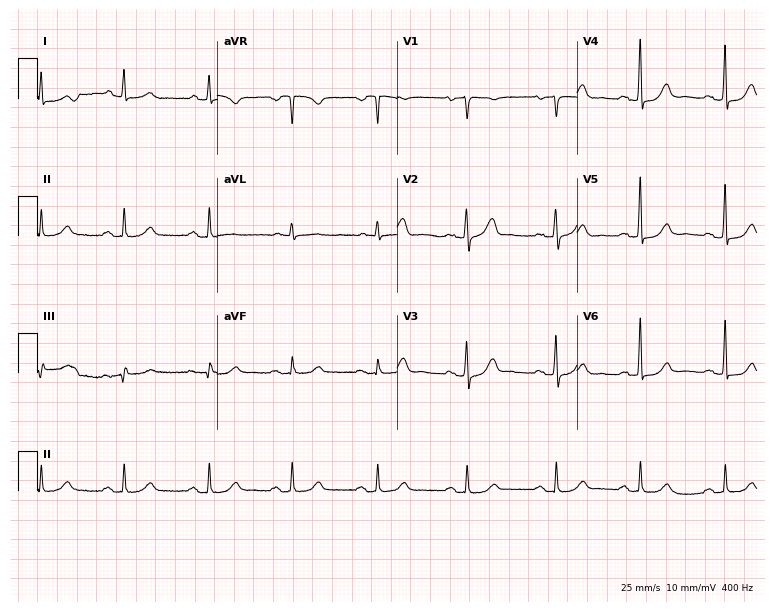
12-lead ECG from a female, 58 years old (7.3-second recording at 400 Hz). No first-degree AV block, right bundle branch block (RBBB), left bundle branch block (LBBB), sinus bradycardia, atrial fibrillation (AF) or sinus tachycardia recorded for this tracing.